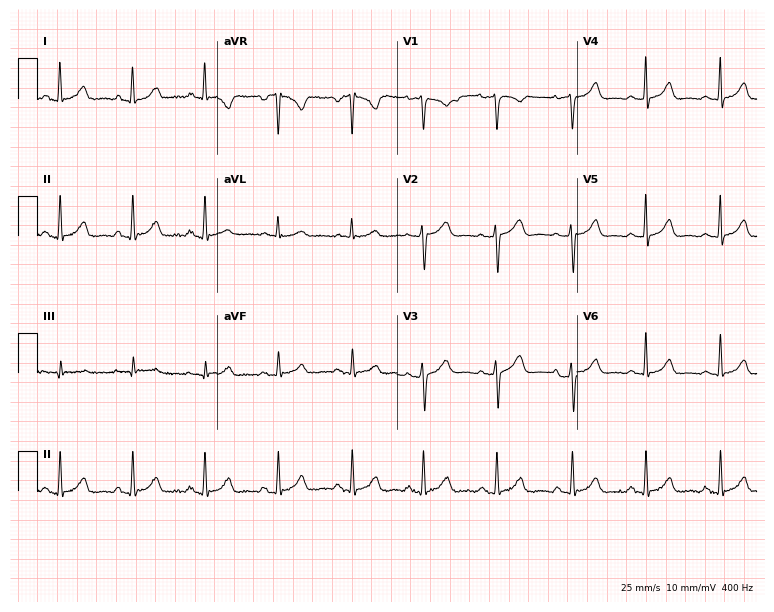
12-lead ECG from a female, 36 years old. Labelled as a normal ECG.